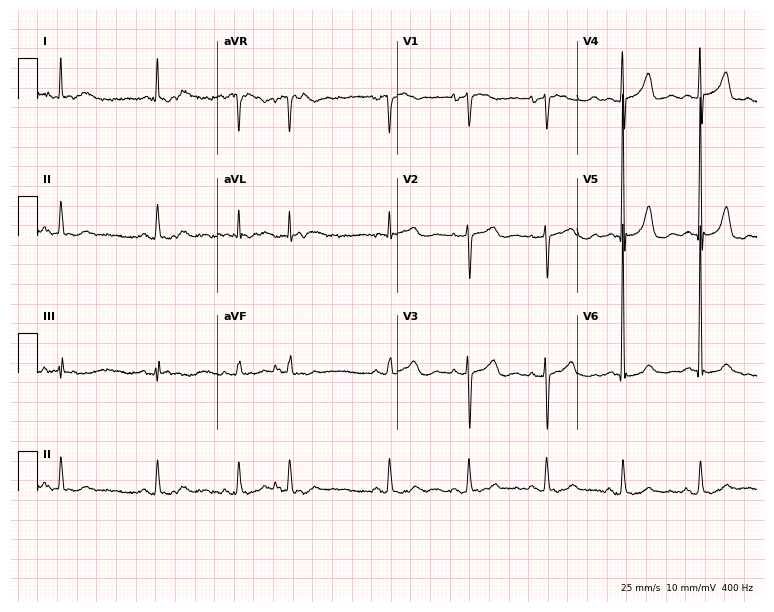
12-lead ECG from an 80-year-old female. No first-degree AV block, right bundle branch block, left bundle branch block, sinus bradycardia, atrial fibrillation or sinus tachycardia recorded for this tracing.